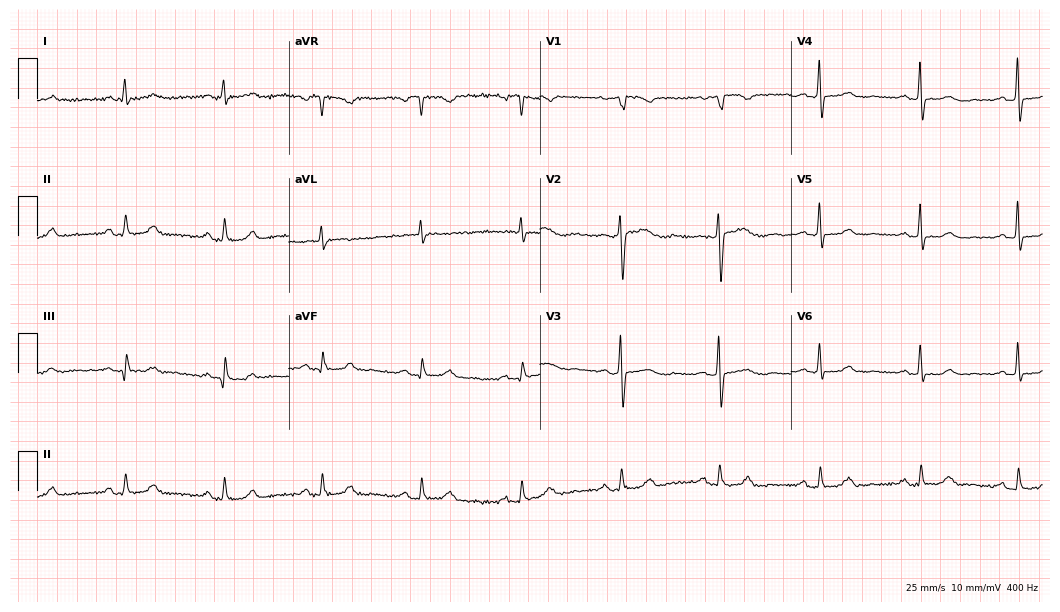
12-lead ECG from an 85-year-old female patient (10.2-second recording at 400 Hz). Recorded interpretation: within normal limits.